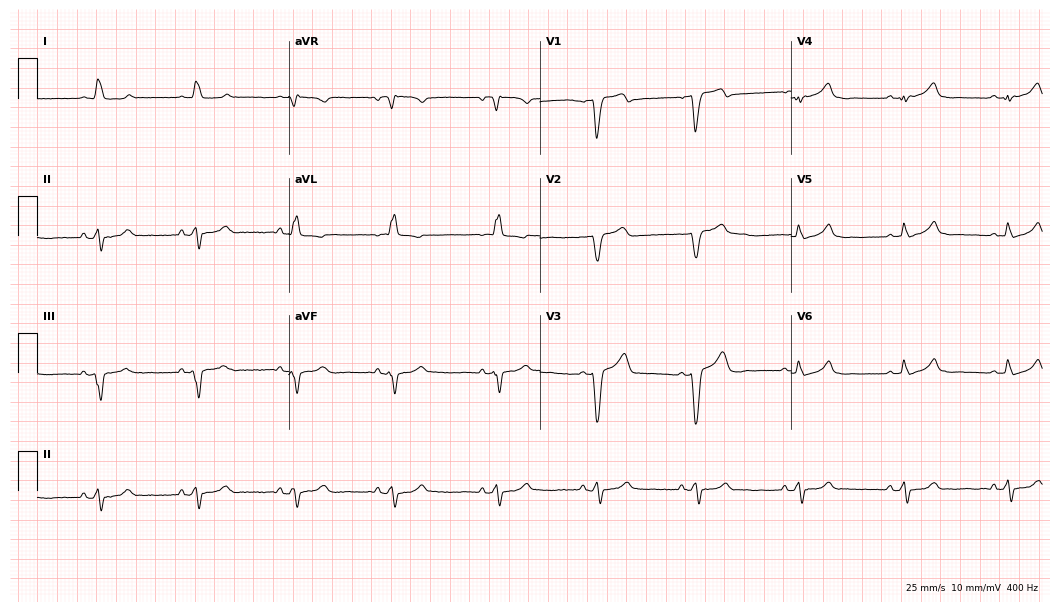
Standard 12-lead ECG recorded from a 64-year-old male. None of these six findings is recorded: first-degree AV block, right bundle branch block, left bundle branch block, sinus bradycardia, atrial fibrillation, sinus tachycardia.